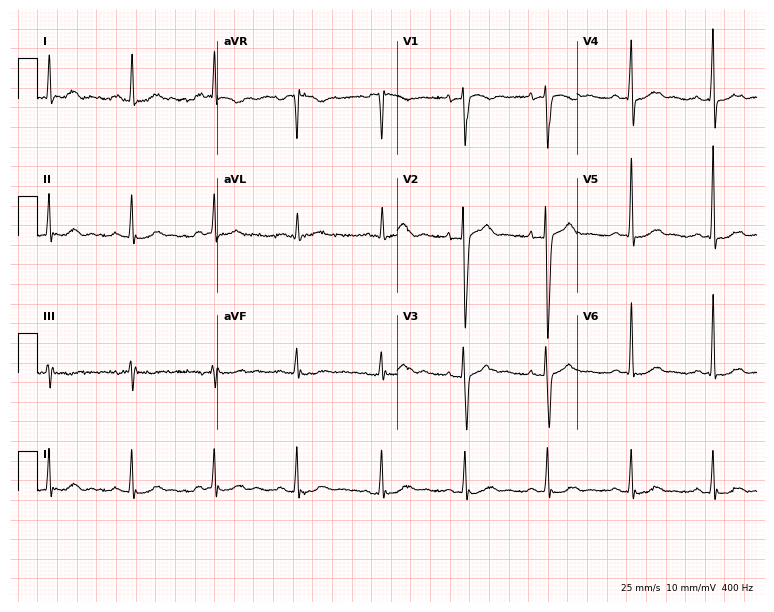
Standard 12-lead ECG recorded from a male, 43 years old (7.3-second recording at 400 Hz). Read as a normal ECG.